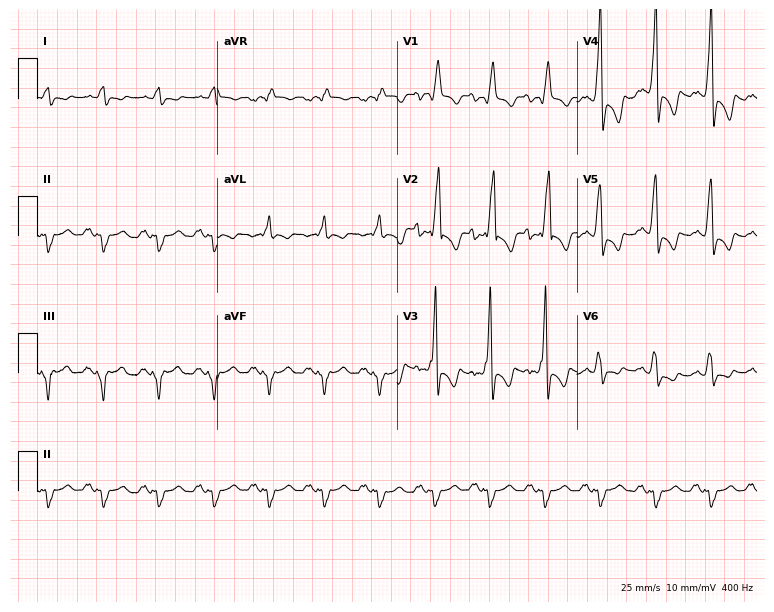
12-lead ECG (7.3-second recording at 400 Hz) from a 42-year-old male. Findings include right bundle branch block.